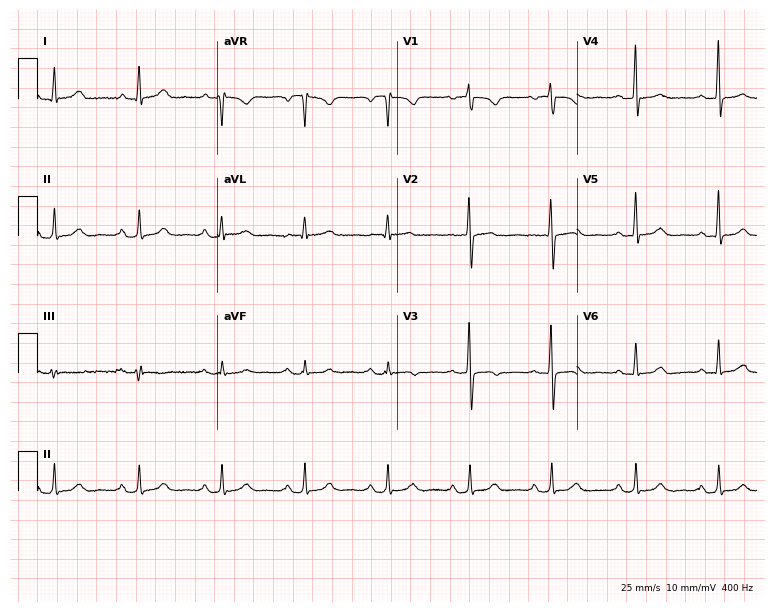
12-lead ECG from a 59-year-old female patient. Screened for six findings — first-degree AV block, right bundle branch block (RBBB), left bundle branch block (LBBB), sinus bradycardia, atrial fibrillation (AF), sinus tachycardia — none is recorded. Findings outside these six are not listed.